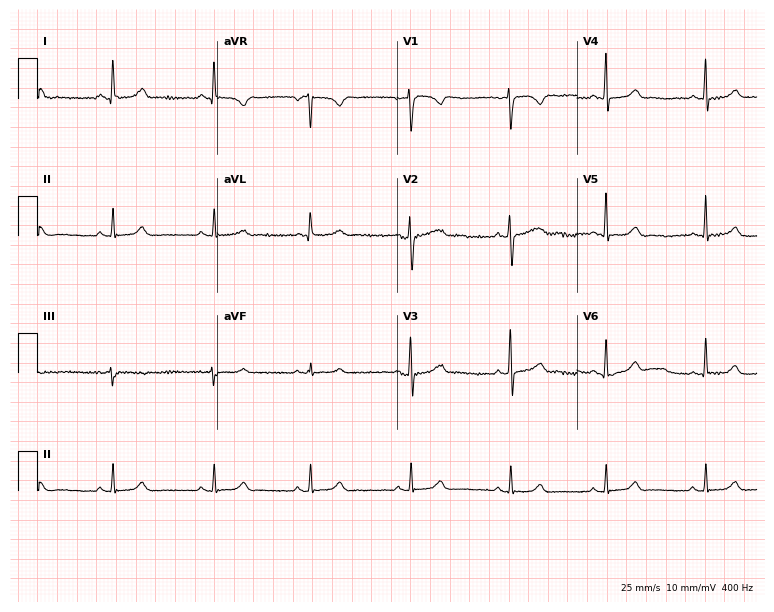
Standard 12-lead ECG recorded from a female patient, 47 years old (7.3-second recording at 400 Hz). Read as a normal ECG.